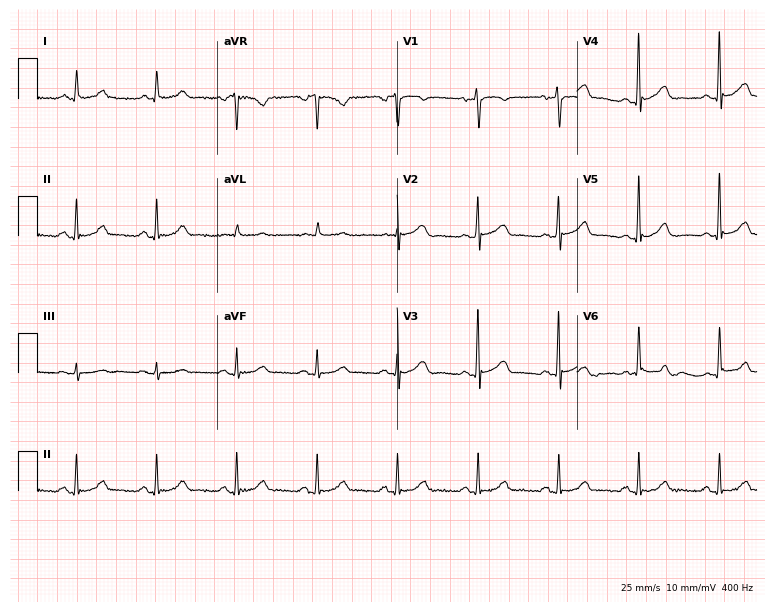
ECG — a male patient, 81 years old. Labelled as a normal ECG.